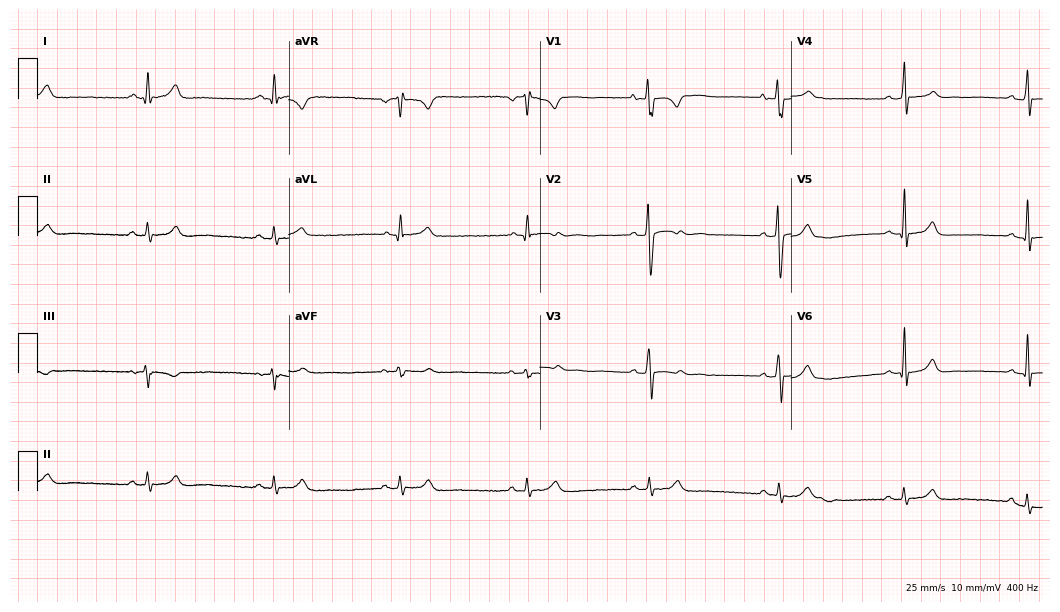
Standard 12-lead ECG recorded from a 30-year-old male (10.2-second recording at 400 Hz). The tracing shows sinus bradycardia (a sinus rate of 50 beats per minute or less).